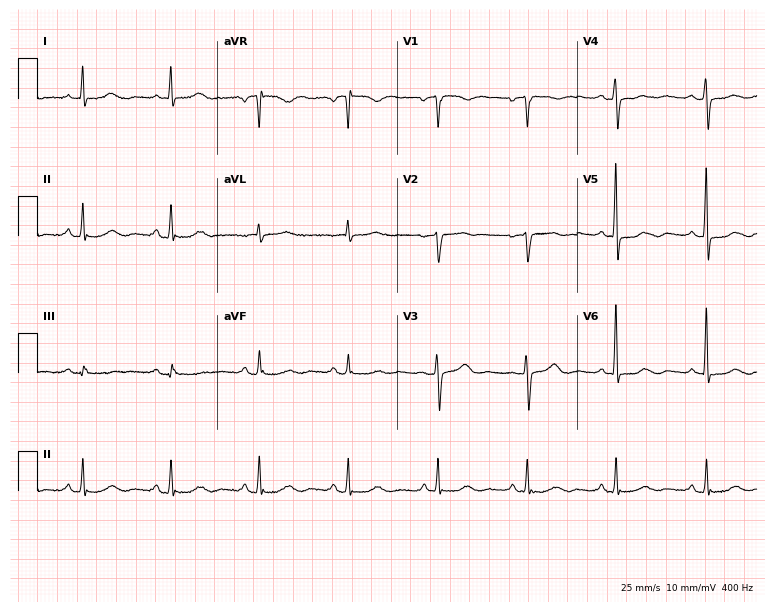
12-lead ECG from a 75-year-old woman. Recorded interpretation: within normal limits.